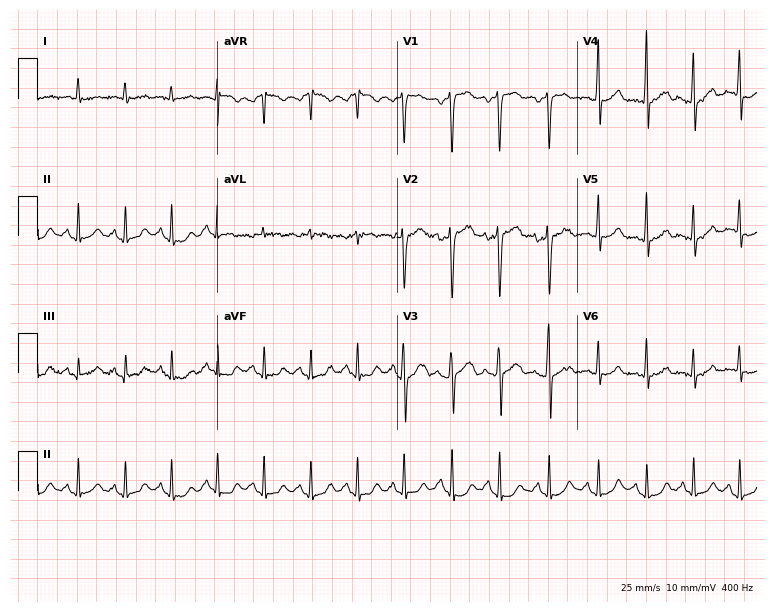
12-lead ECG from a female, 39 years old. Findings include sinus tachycardia (a sinus rate of 100 beats per minute or more).